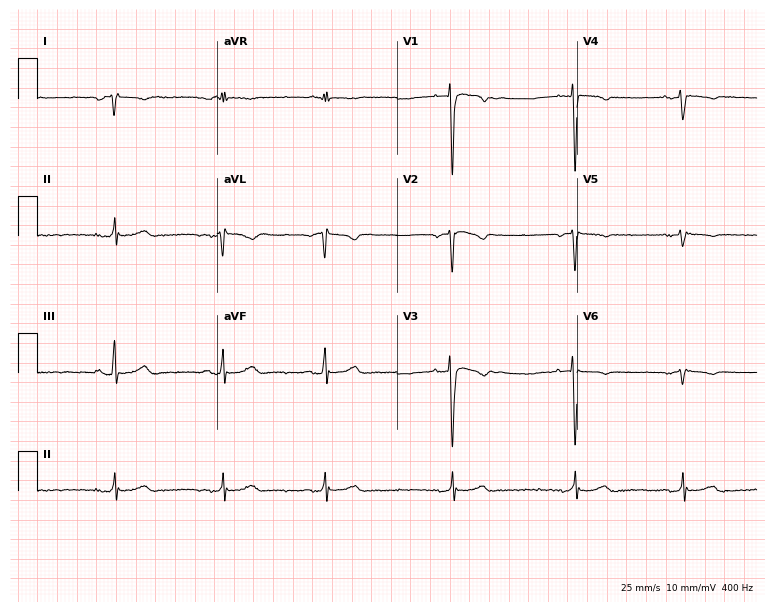
12-lead ECG from a 33-year-old male. Screened for six findings — first-degree AV block, right bundle branch block (RBBB), left bundle branch block (LBBB), sinus bradycardia, atrial fibrillation (AF), sinus tachycardia — none is recorded.